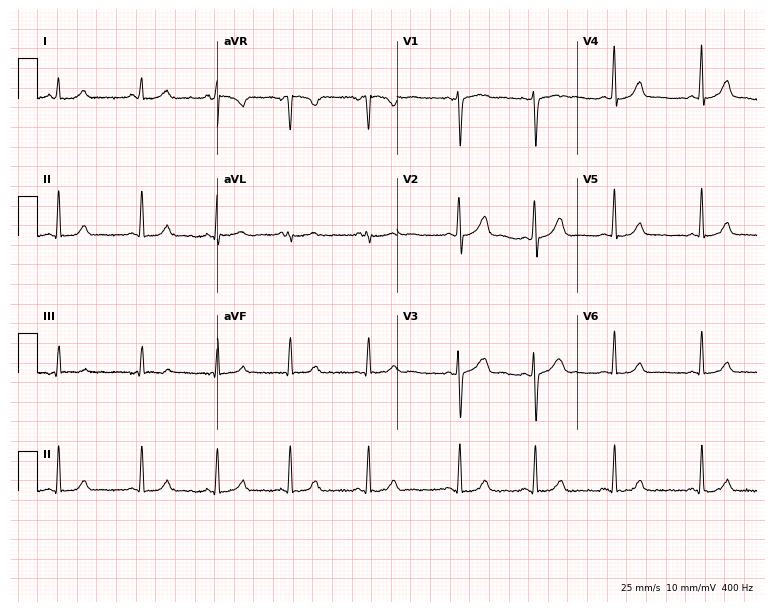
12-lead ECG from a 28-year-old woman. Screened for six findings — first-degree AV block, right bundle branch block (RBBB), left bundle branch block (LBBB), sinus bradycardia, atrial fibrillation (AF), sinus tachycardia — none is recorded.